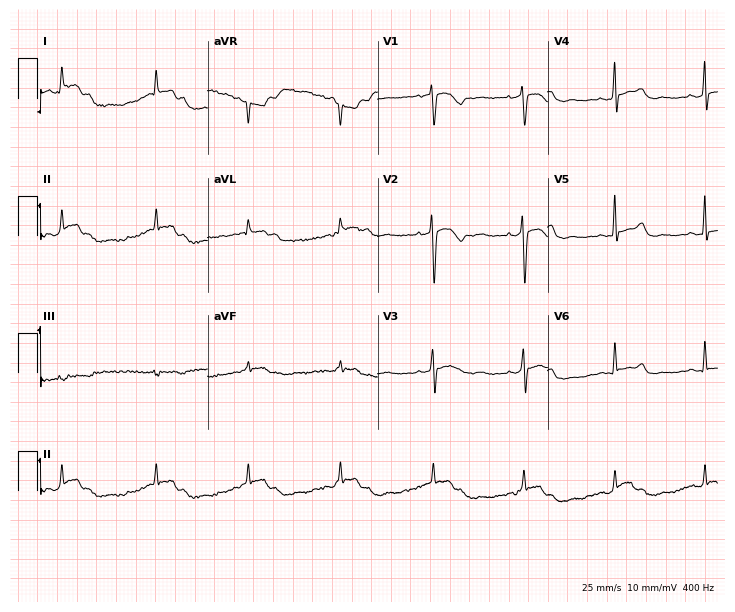
12-lead ECG from a female, 44 years old. No first-degree AV block, right bundle branch block (RBBB), left bundle branch block (LBBB), sinus bradycardia, atrial fibrillation (AF) or sinus tachycardia recorded for this tracing. Only these six findings were labelled.